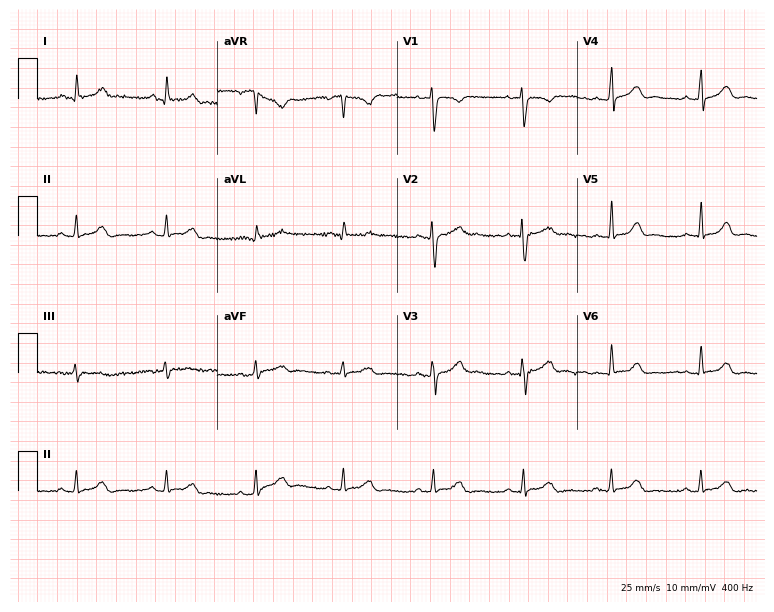
Electrocardiogram, a woman, 38 years old. Overall reading on record: normal ECG.